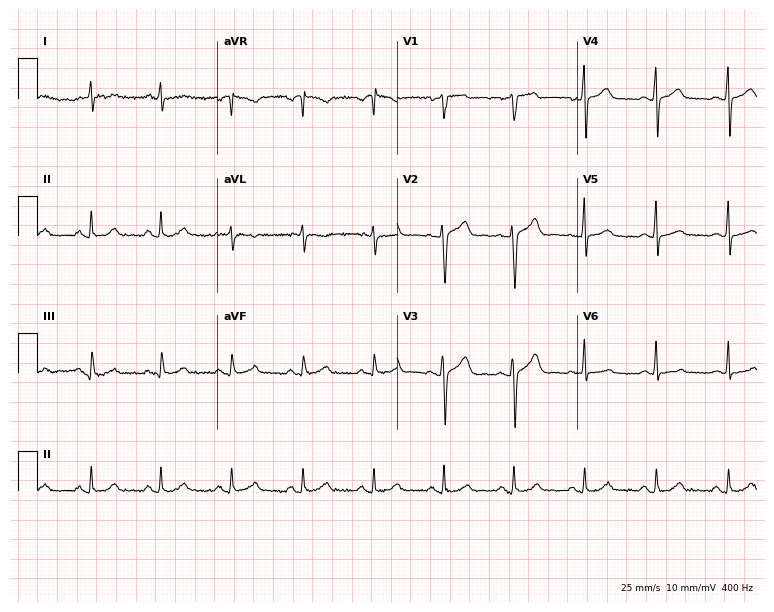
Standard 12-lead ECG recorded from a male patient, 45 years old (7.3-second recording at 400 Hz). Read as a normal ECG.